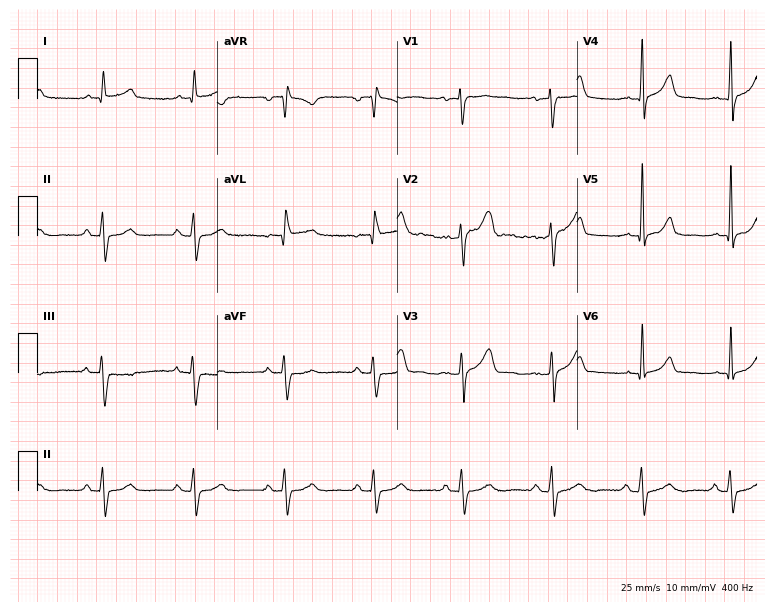
12-lead ECG from a male, 46 years old (7.3-second recording at 400 Hz). Recorded interpretation: within normal limits.